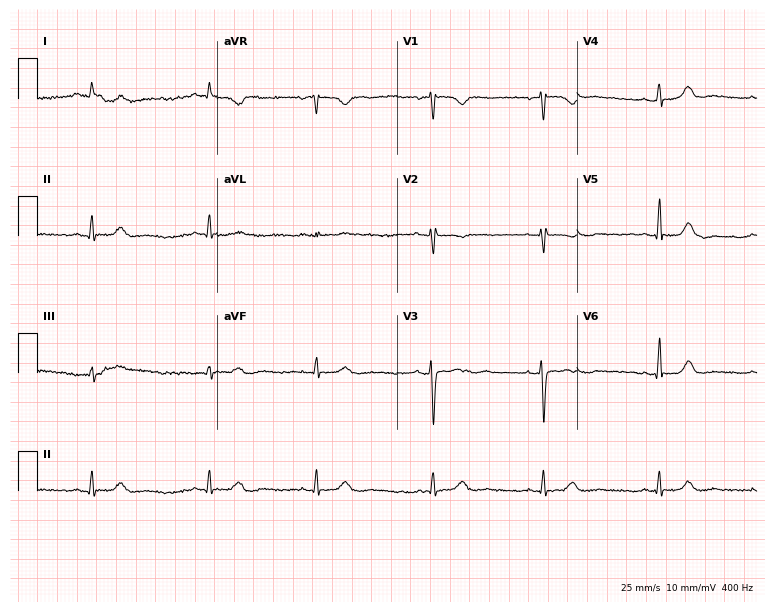
Standard 12-lead ECG recorded from a female, 36 years old (7.3-second recording at 400 Hz). None of these six findings is recorded: first-degree AV block, right bundle branch block (RBBB), left bundle branch block (LBBB), sinus bradycardia, atrial fibrillation (AF), sinus tachycardia. Other findings, if any, are not listed.